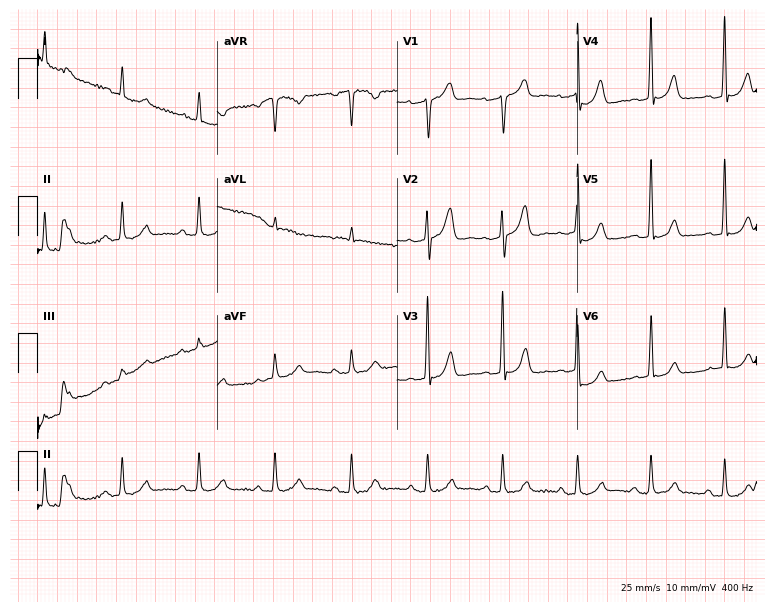
12-lead ECG (7.3-second recording at 400 Hz) from a male, 76 years old. Screened for six findings — first-degree AV block, right bundle branch block, left bundle branch block, sinus bradycardia, atrial fibrillation, sinus tachycardia — none is recorded. Findings outside these six are not listed.